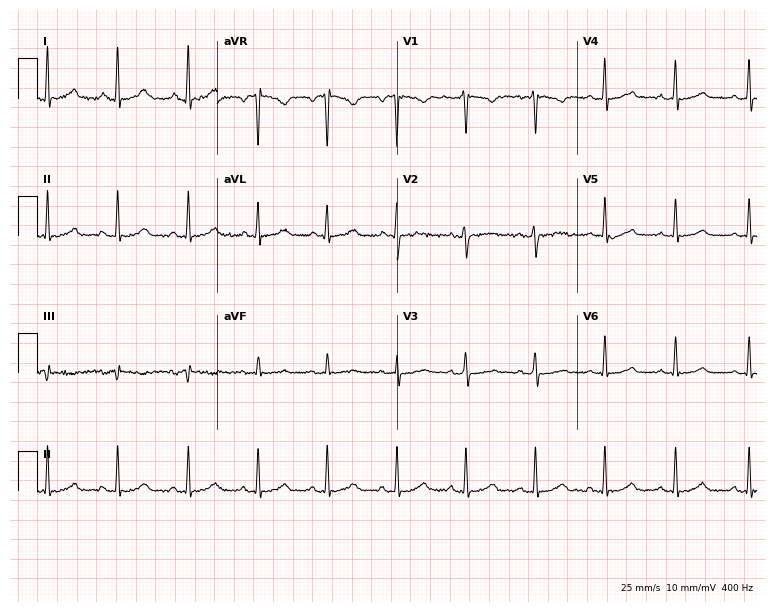
Resting 12-lead electrocardiogram. Patient: a 28-year-old female. Read as a normal ECG.